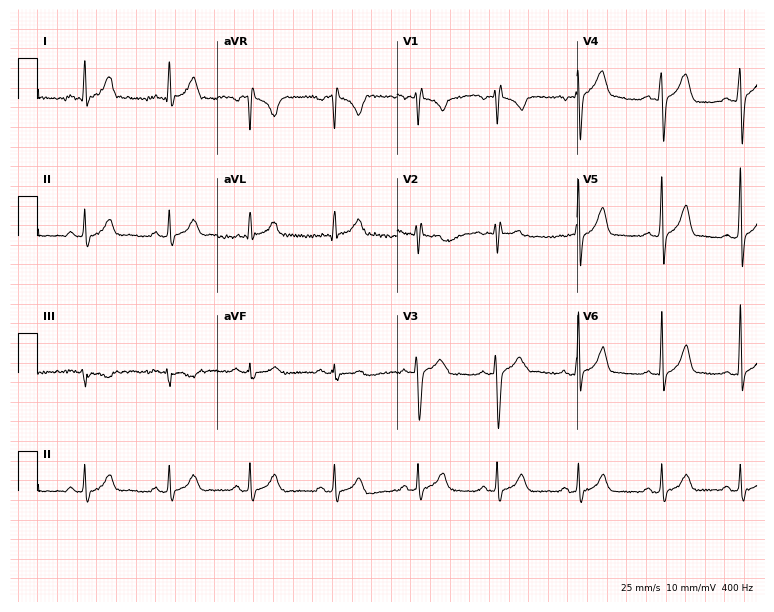
Resting 12-lead electrocardiogram (7.3-second recording at 400 Hz). Patient: a 31-year-old male. None of these six findings is recorded: first-degree AV block, right bundle branch block, left bundle branch block, sinus bradycardia, atrial fibrillation, sinus tachycardia.